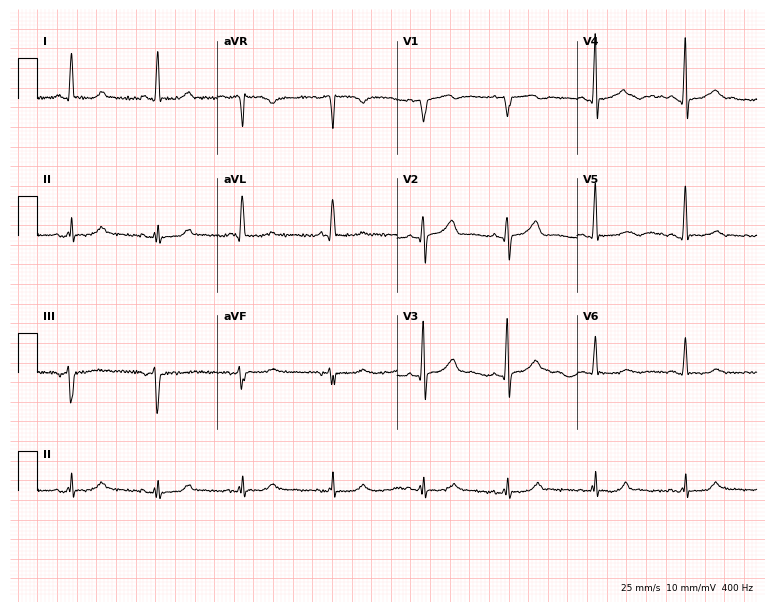
ECG — a 56-year-old female patient. Labelled as a normal ECG.